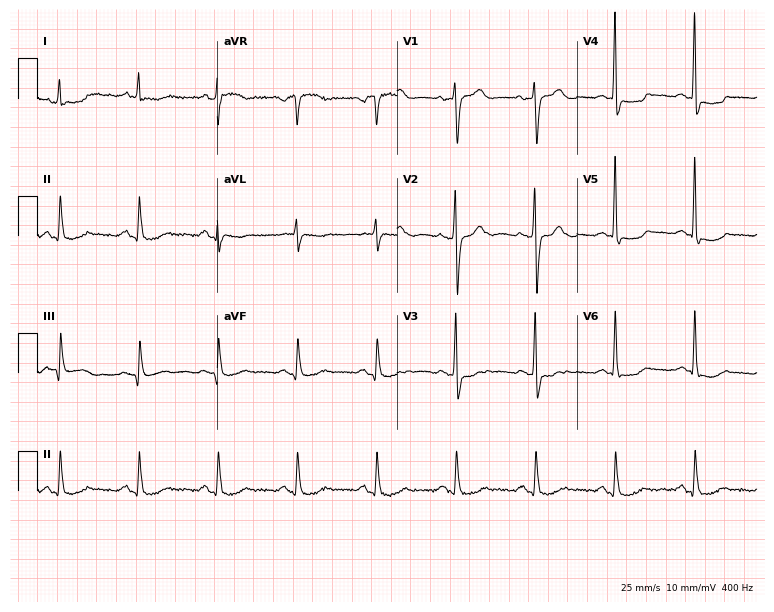
12-lead ECG from an 80-year-old man. No first-degree AV block, right bundle branch block (RBBB), left bundle branch block (LBBB), sinus bradycardia, atrial fibrillation (AF) or sinus tachycardia recorded for this tracing. Other findings, if any, are not listed.